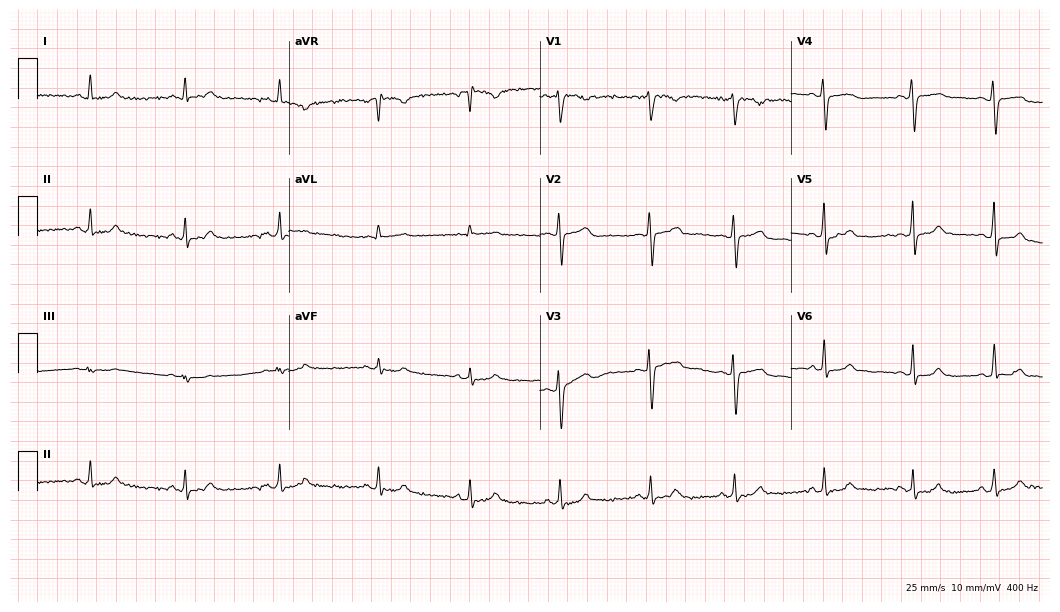
ECG (10.2-second recording at 400 Hz) — a female patient, 26 years old. Labelled as a normal ECG.